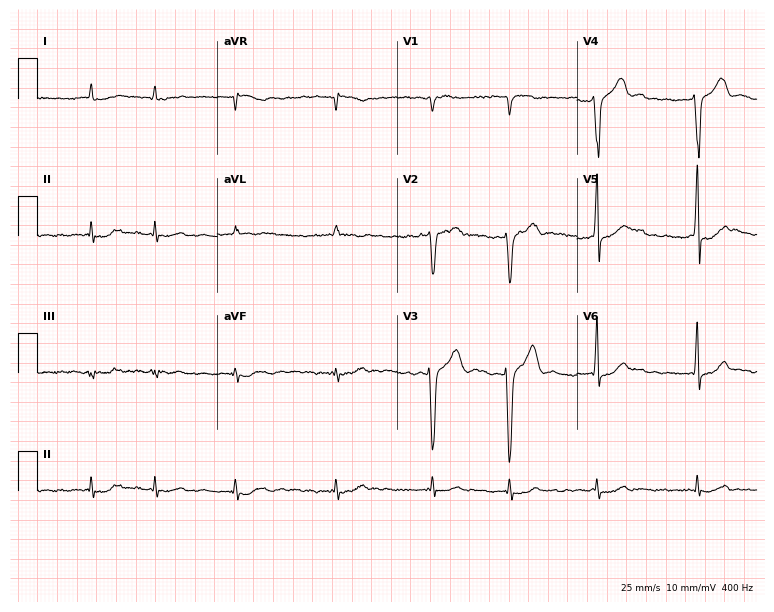
Resting 12-lead electrocardiogram (7.3-second recording at 400 Hz). Patient: a man, 77 years old. The tracing shows atrial fibrillation.